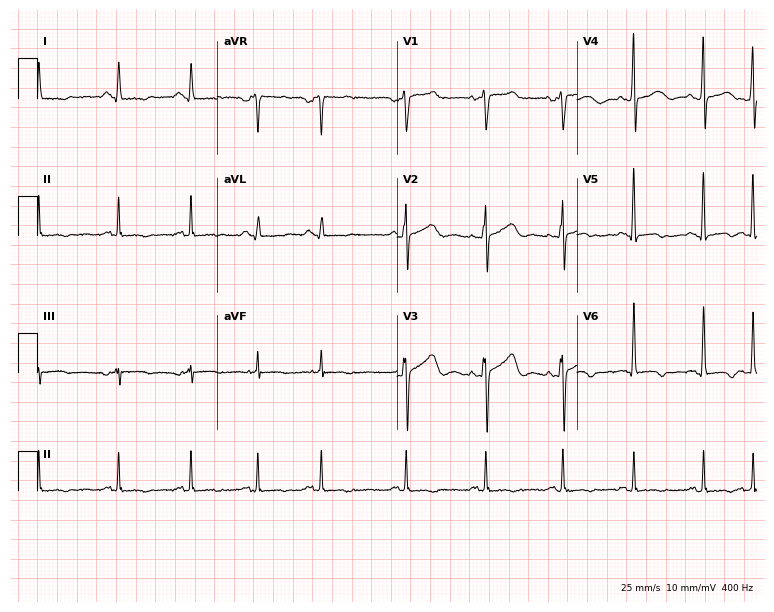
Standard 12-lead ECG recorded from a female patient, 51 years old (7.3-second recording at 400 Hz). None of these six findings is recorded: first-degree AV block, right bundle branch block (RBBB), left bundle branch block (LBBB), sinus bradycardia, atrial fibrillation (AF), sinus tachycardia. Other findings, if any, are not listed.